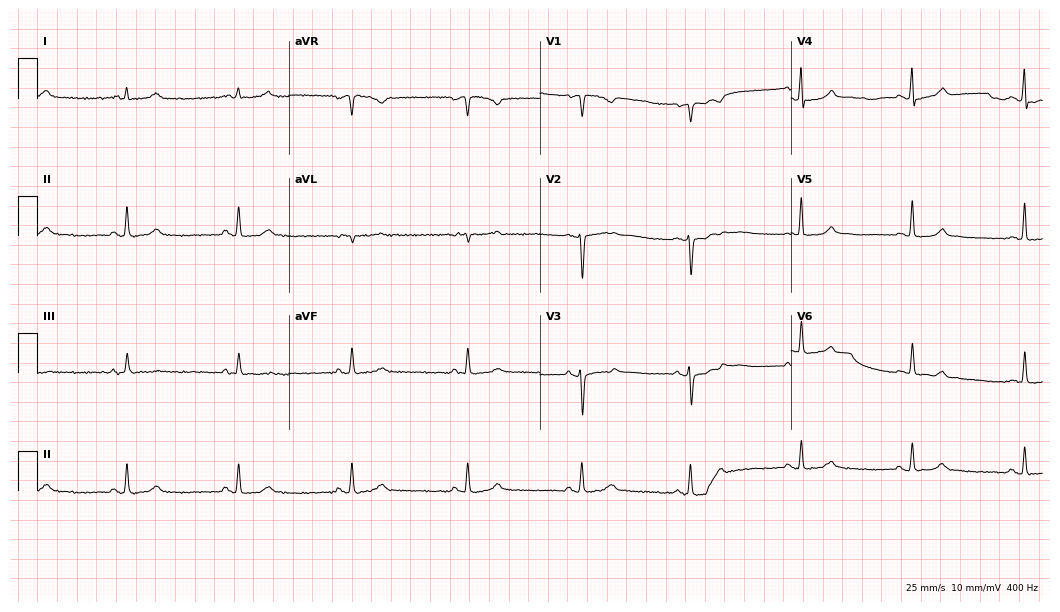
12-lead ECG from a 54-year-old female patient. Labelled as a normal ECG.